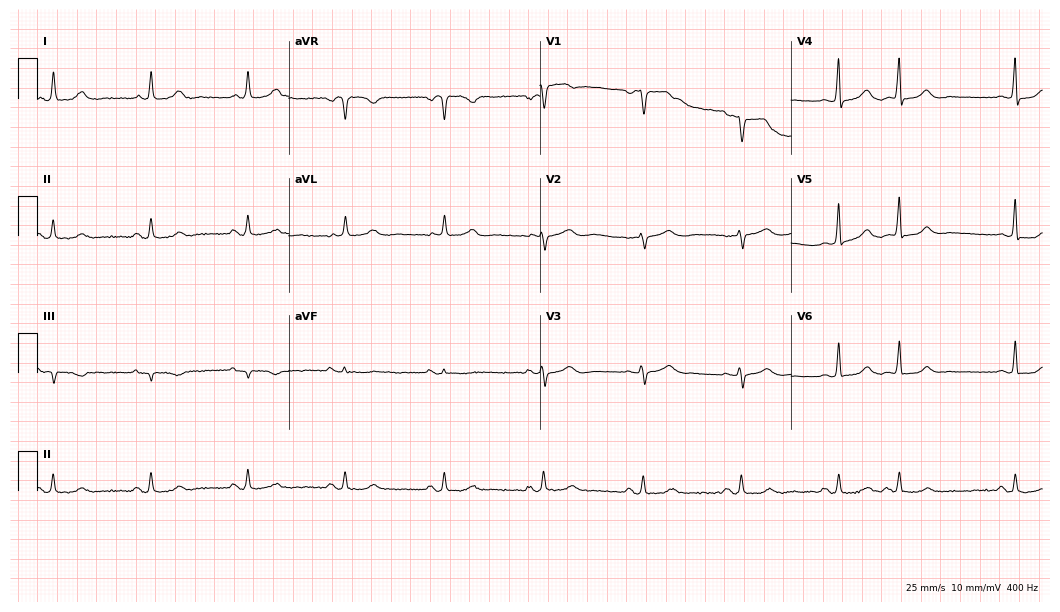
Electrocardiogram (10.2-second recording at 400 Hz), a 73-year-old woman. Overall reading on record: normal ECG.